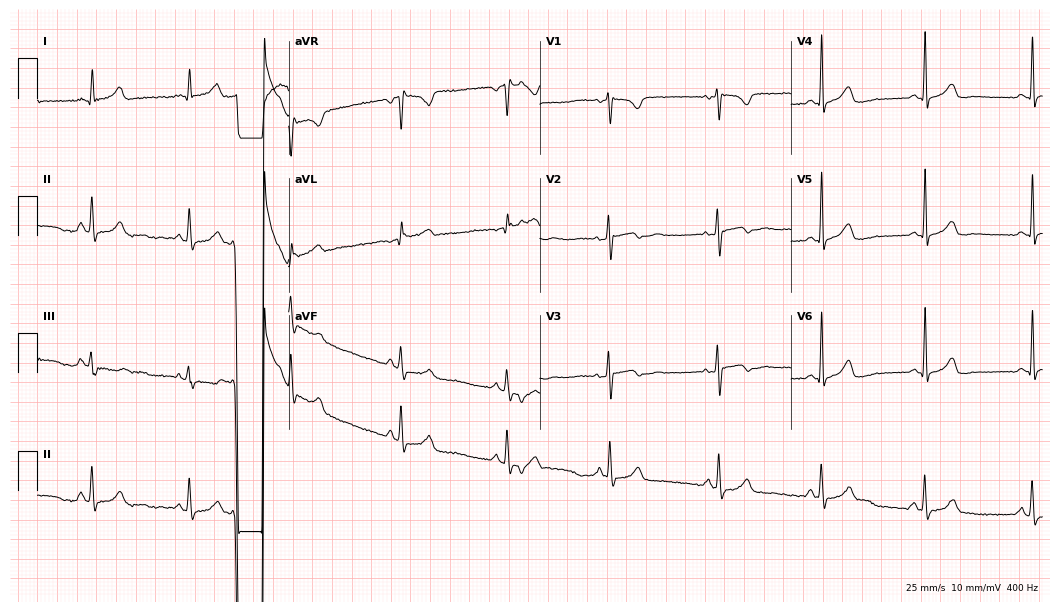
Standard 12-lead ECG recorded from a female, 25 years old (10.2-second recording at 400 Hz). Read as a normal ECG.